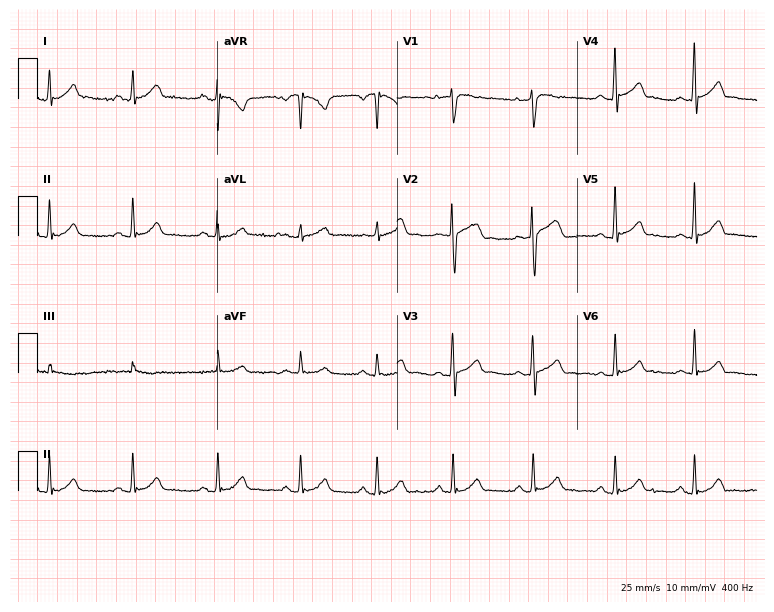
12-lead ECG from a 38-year-old male (7.3-second recording at 400 Hz). Recorded interpretation: within normal limits.